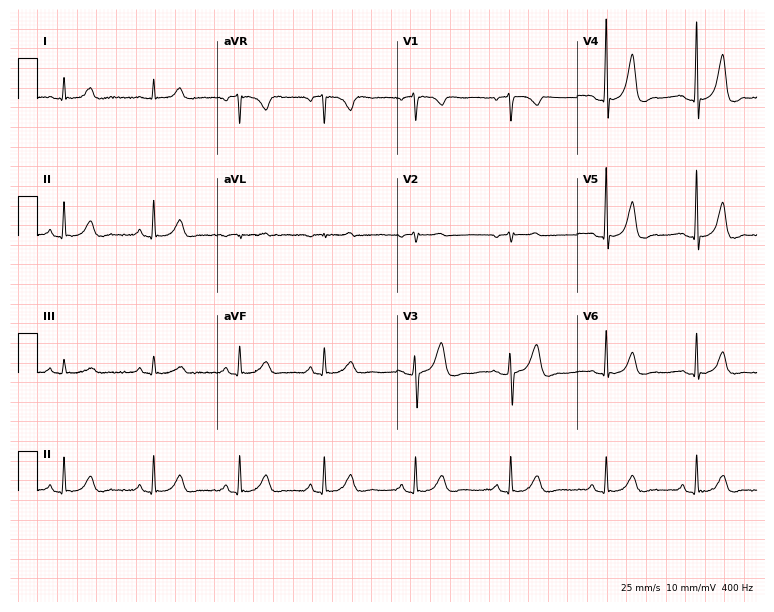
12-lead ECG from a woman, 50 years old (7.3-second recording at 400 Hz). Recorded interpretation: within normal limits.